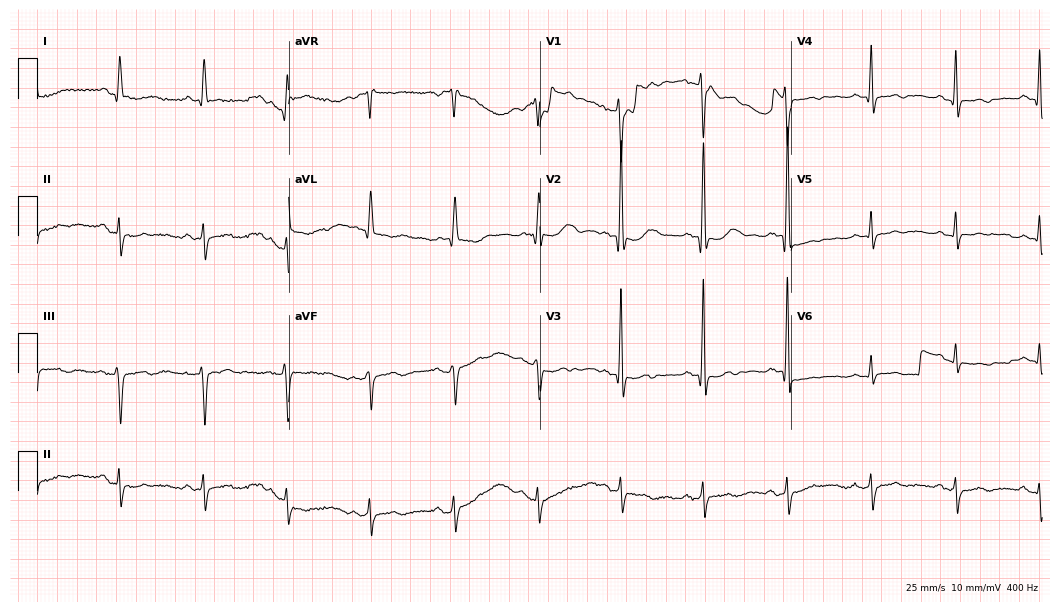
Electrocardiogram, a female patient, 72 years old. Of the six screened findings (first-degree AV block, right bundle branch block (RBBB), left bundle branch block (LBBB), sinus bradycardia, atrial fibrillation (AF), sinus tachycardia), none is recorded. Other findings, if any, are not listed.